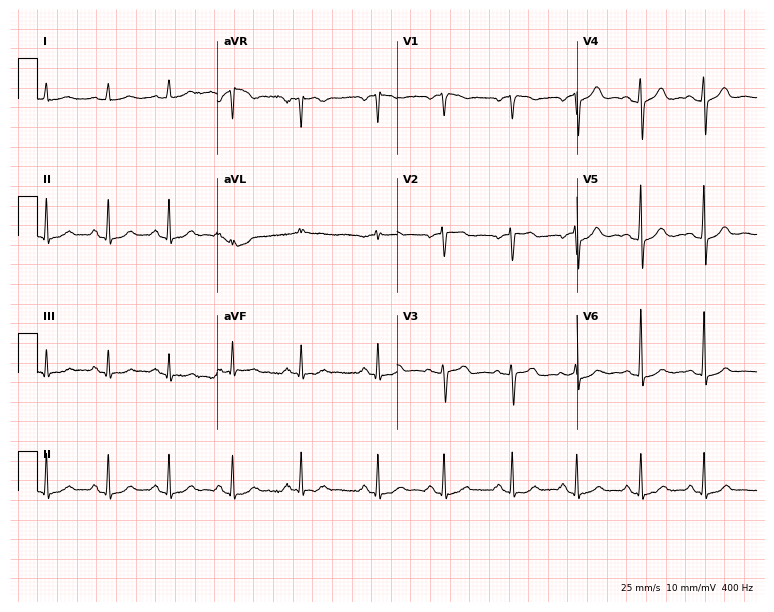
12-lead ECG from a female patient, 53 years old (7.3-second recording at 400 Hz). Recorded interpretation: within normal limits.